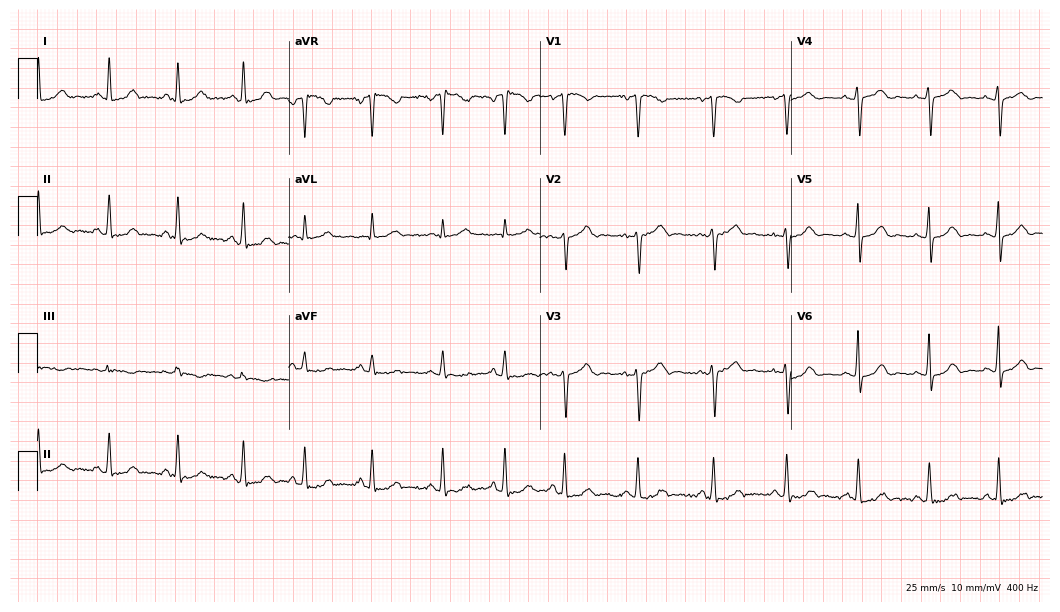
Standard 12-lead ECG recorded from a female patient, 21 years old (10.2-second recording at 400 Hz). Read as a normal ECG.